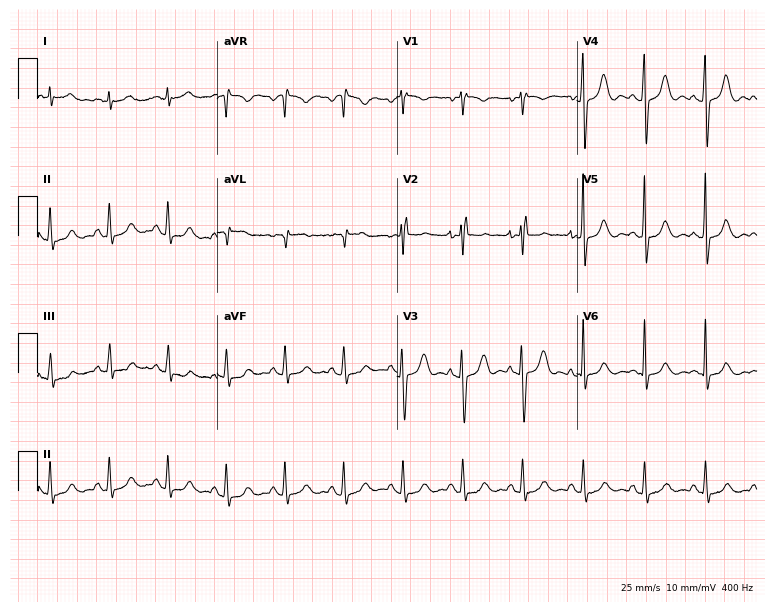
Standard 12-lead ECG recorded from a 41-year-old male. None of these six findings is recorded: first-degree AV block, right bundle branch block (RBBB), left bundle branch block (LBBB), sinus bradycardia, atrial fibrillation (AF), sinus tachycardia.